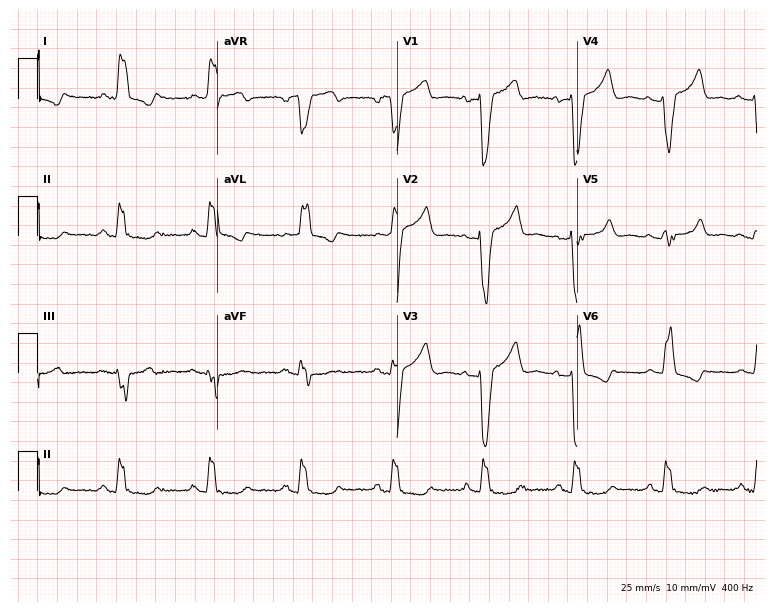
12-lead ECG from a female patient, 78 years old (7.3-second recording at 400 Hz). No first-degree AV block, right bundle branch block, left bundle branch block, sinus bradycardia, atrial fibrillation or sinus tachycardia recorded for this tracing.